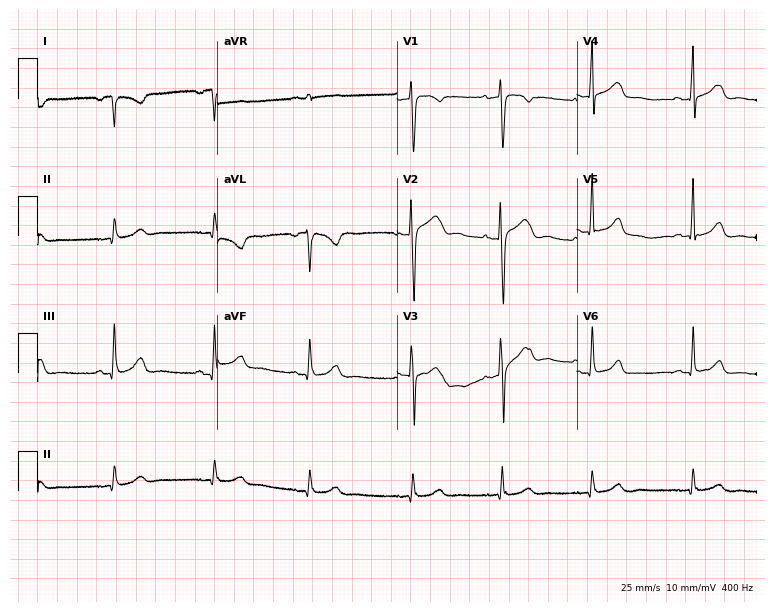
12-lead ECG from a female patient, 26 years old. Screened for six findings — first-degree AV block, right bundle branch block, left bundle branch block, sinus bradycardia, atrial fibrillation, sinus tachycardia — none is recorded.